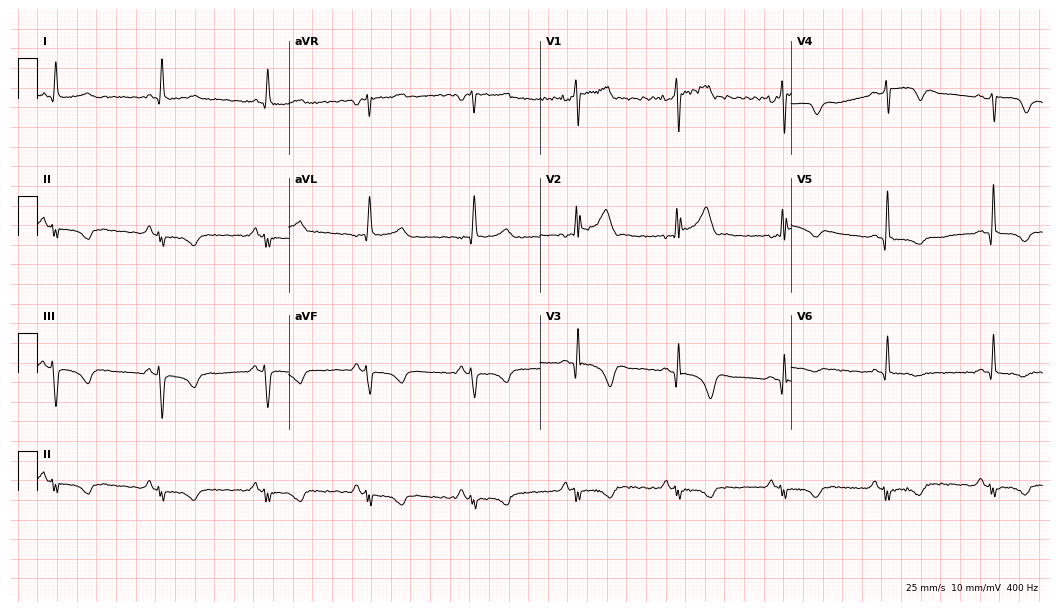
ECG — a male, 35 years old. Screened for six findings — first-degree AV block, right bundle branch block (RBBB), left bundle branch block (LBBB), sinus bradycardia, atrial fibrillation (AF), sinus tachycardia — none is recorded.